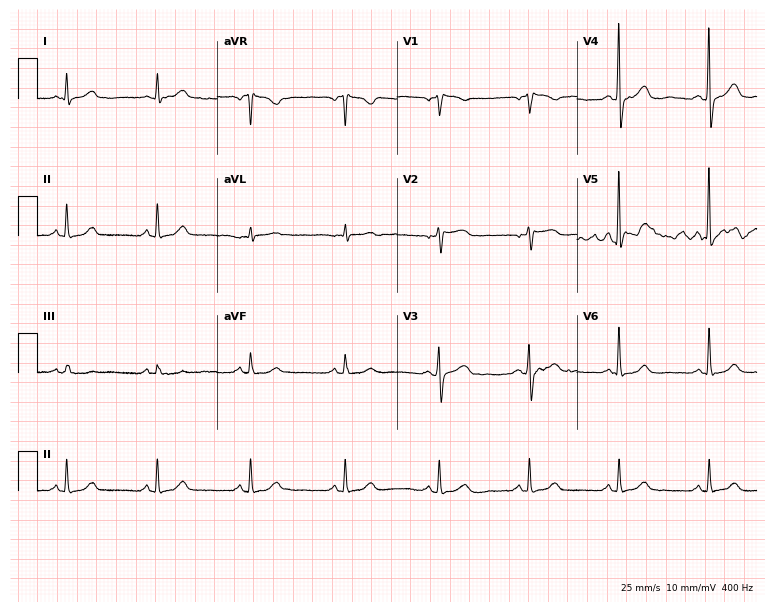
ECG — a woman, 71 years old. Labelled as a normal ECG.